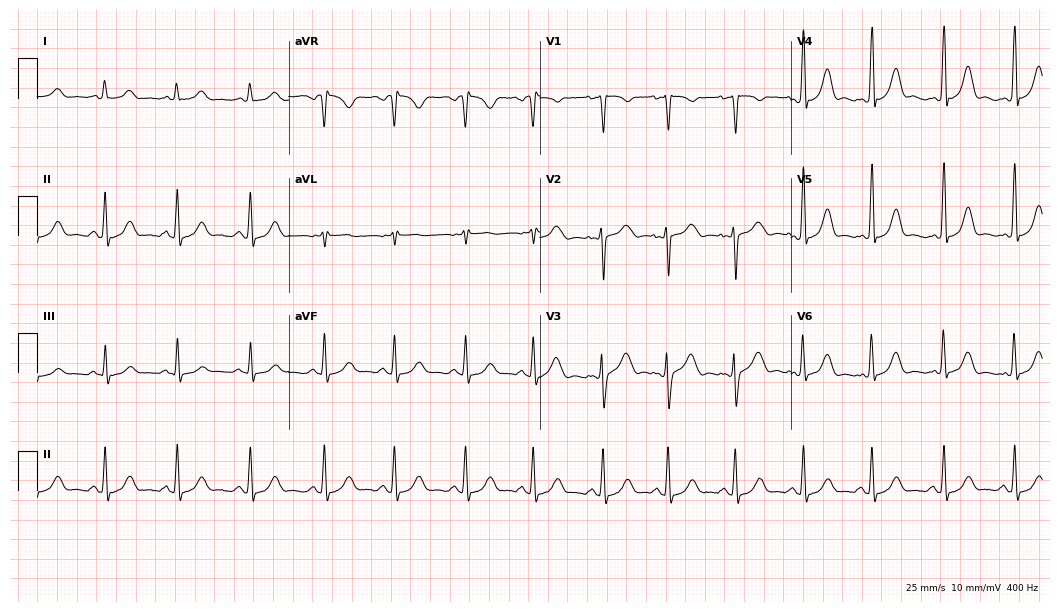
Standard 12-lead ECG recorded from a 32-year-old woman. Read as a normal ECG.